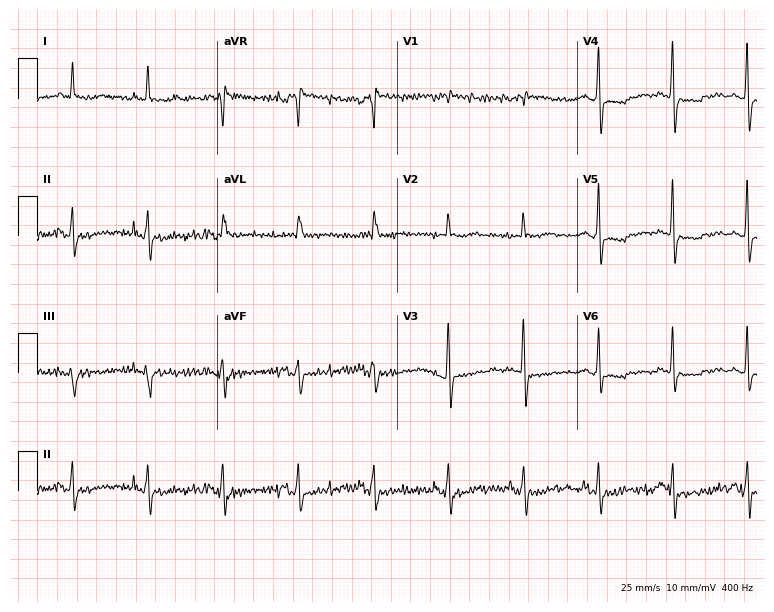
12-lead ECG from an 80-year-old female patient (7.3-second recording at 400 Hz). No first-degree AV block, right bundle branch block, left bundle branch block, sinus bradycardia, atrial fibrillation or sinus tachycardia recorded for this tracing.